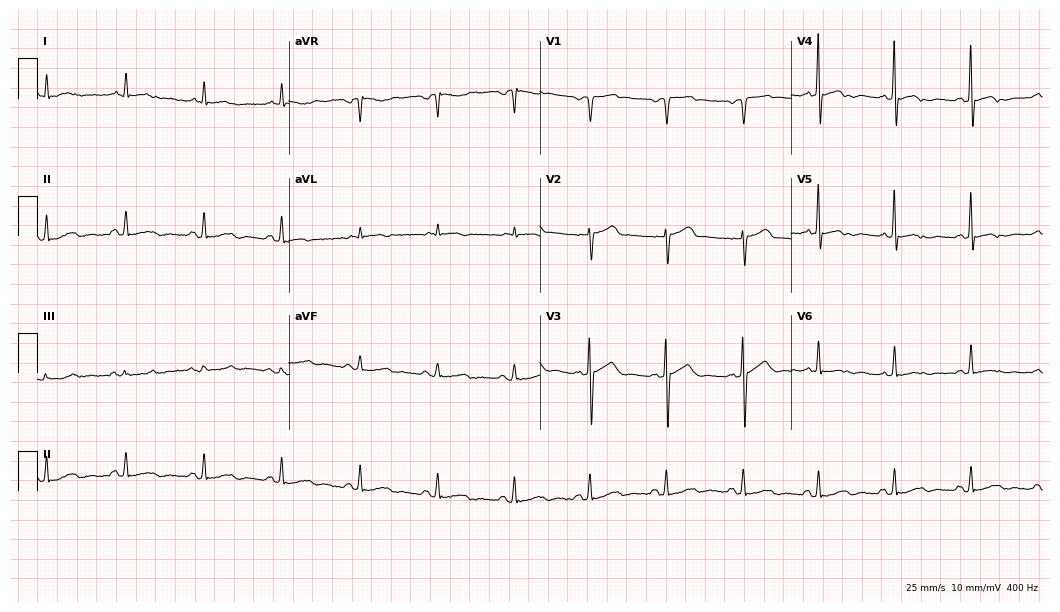
ECG (10.2-second recording at 400 Hz) — a man, 68 years old. Screened for six findings — first-degree AV block, right bundle branch block, left bundle branch block, sinus bradycardia, atrial fibrillation, sinus tachycardia — none is recorded.